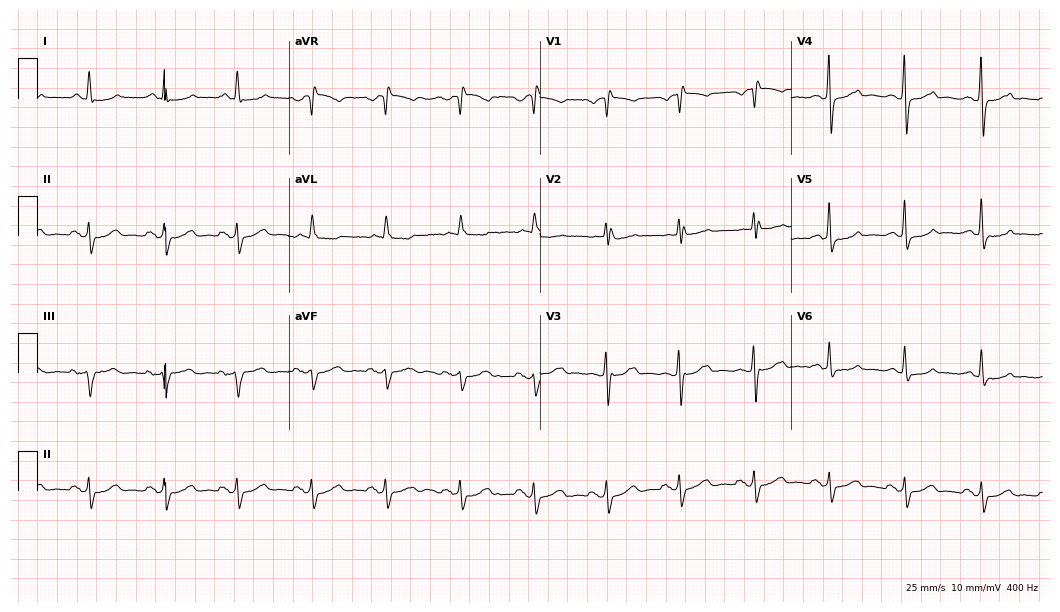
ECG — a male patient, 76 years old. Screened for six findings — first-degree AV block, right bundle branch block (RBBB), left bundle branch block (LBBB), sinus bradycardia, atrial fibrillation (AF), sinus tachycardia — none is recorded.